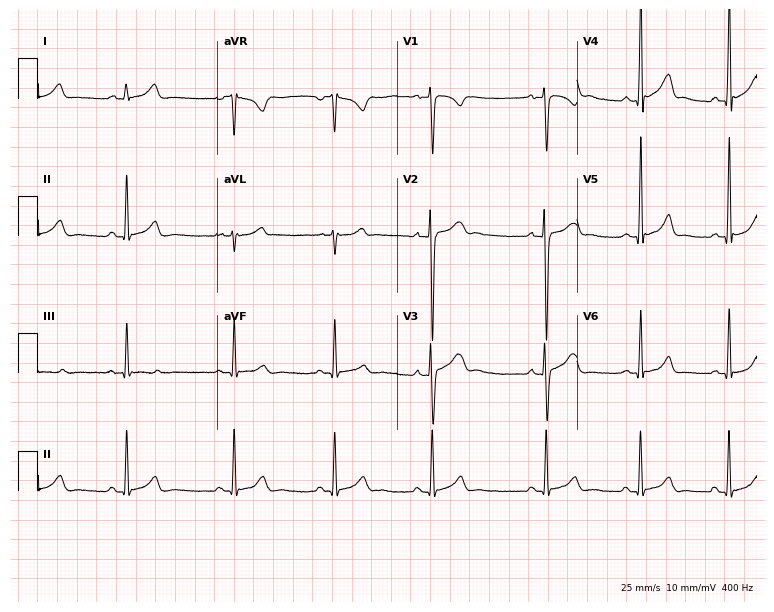
Standard 12-lead ECG recorded from a male patient, 17 years old. Read as a normal ECG.